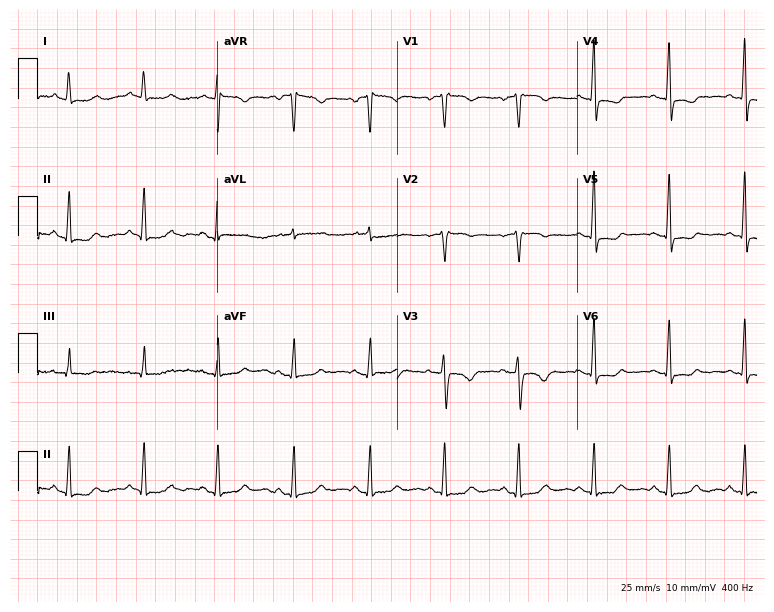
12-lead ECG from a 47-year-old woman. Screened for six findings — first-degree AV block, right bundle branch block (RBBB), left bundle branch block (LBBB), sinus bradycardia, atrial fibrillation (AF), sinus tachycardia — none is recorded.